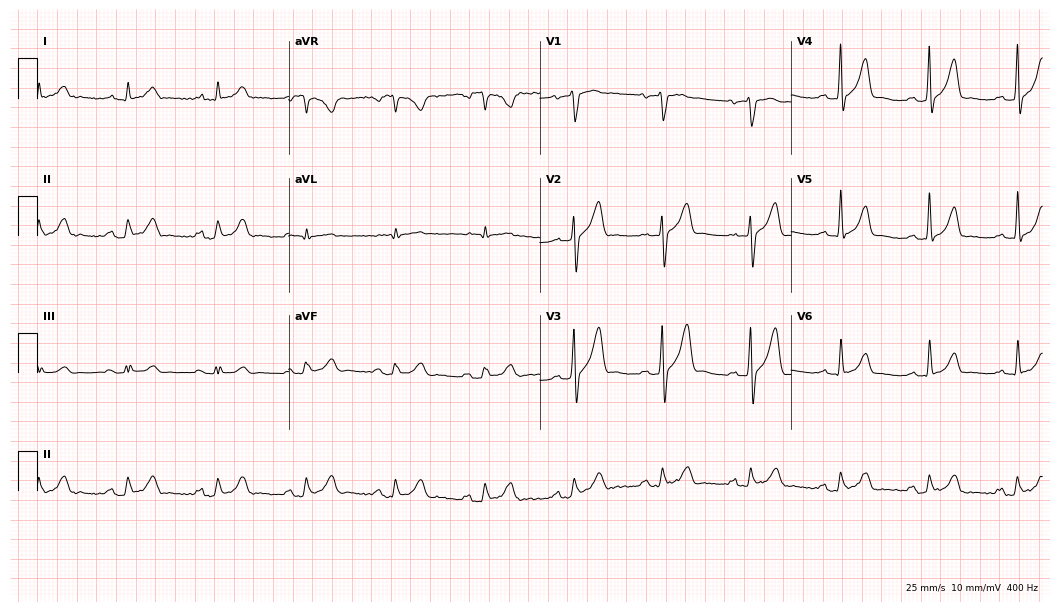
12-lead ECG from a 71-year-old man. No first-degree AV block, right bundle branch block, left bundle branch block, sinus bradycardia, atrial fibrillation or sinus tachycardia recorded for this tracing. Only these six findings were labelled.